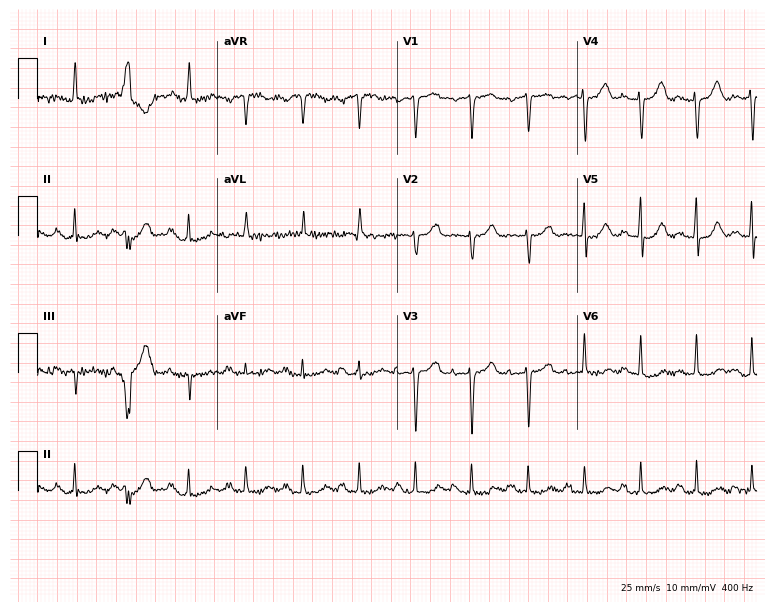
12-lead ECG from a 75-year-old woman (7.3-second recording at 400 Hz). Shows sinus tachycardia (a sinus rate of 100 beats per minute or more).